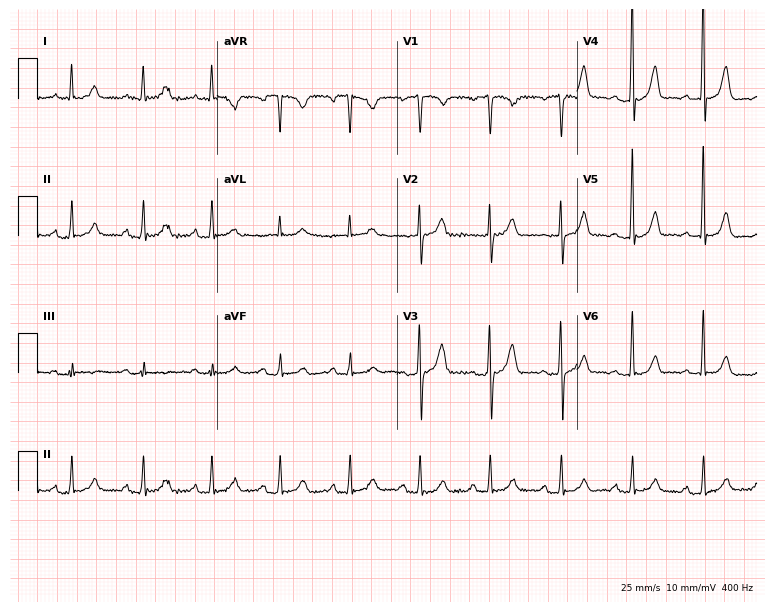
Resting 12-lead electrocardiogram (7.3-second recording at 400 Hz). Patient: a 51-year-old male. Read as a normal ECG.